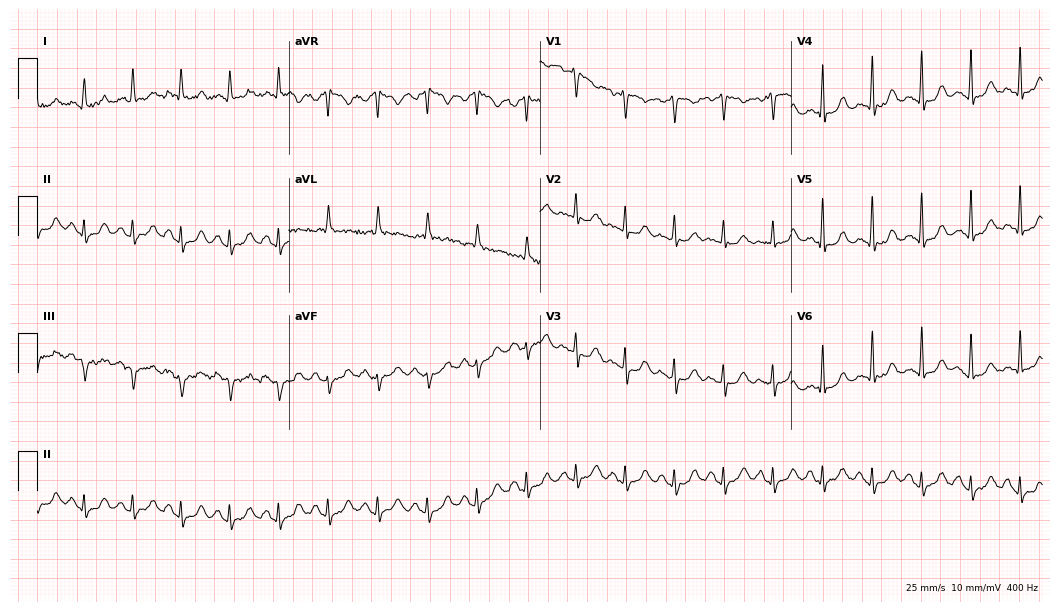
Electrocardiogram (10.2-second recording at 400 Hz), a female patient, 35 years old. Interpretation includes sinus tachycardia (a sinus rate of 100 beats per minute or more).